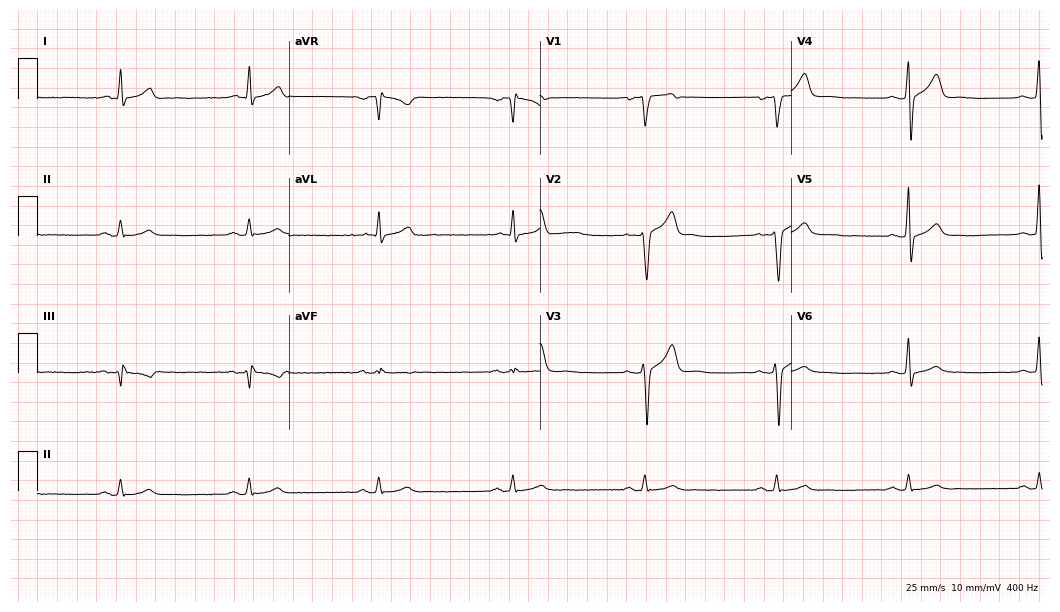
12-lead ECG from a male patient, 47 years old. Findings include sinus bradycardia (a sinus rate of 50 beats per minute or less).